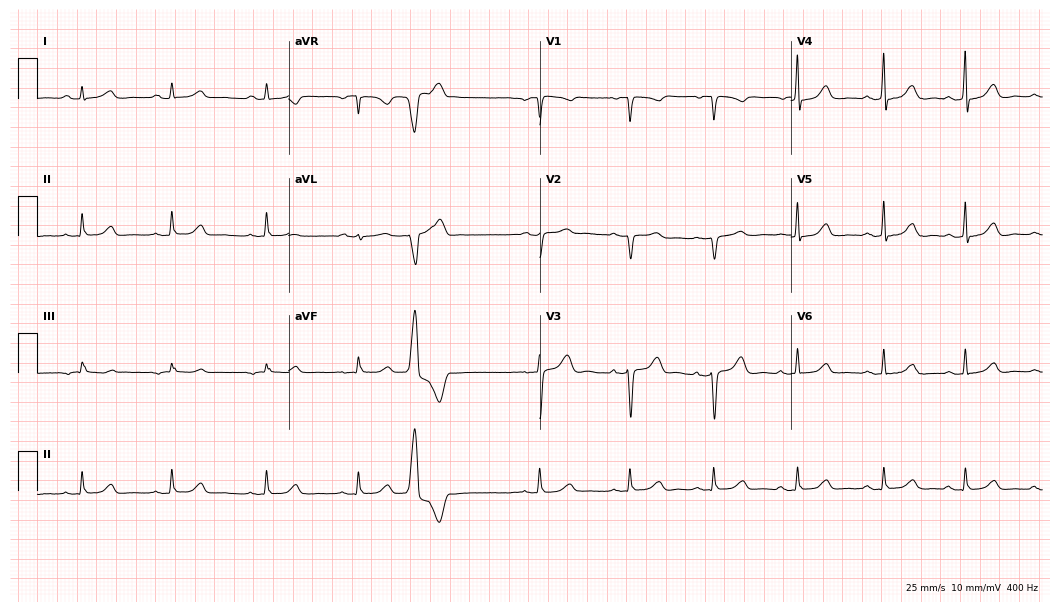
12-lead ECG from a female, 51 years old. Screened for six findings — first-degree AV block, right bundle branch block, left bundle branch block, sinus bradycardia, atrial fibrillation, sinus tachycardia — none is recorded.